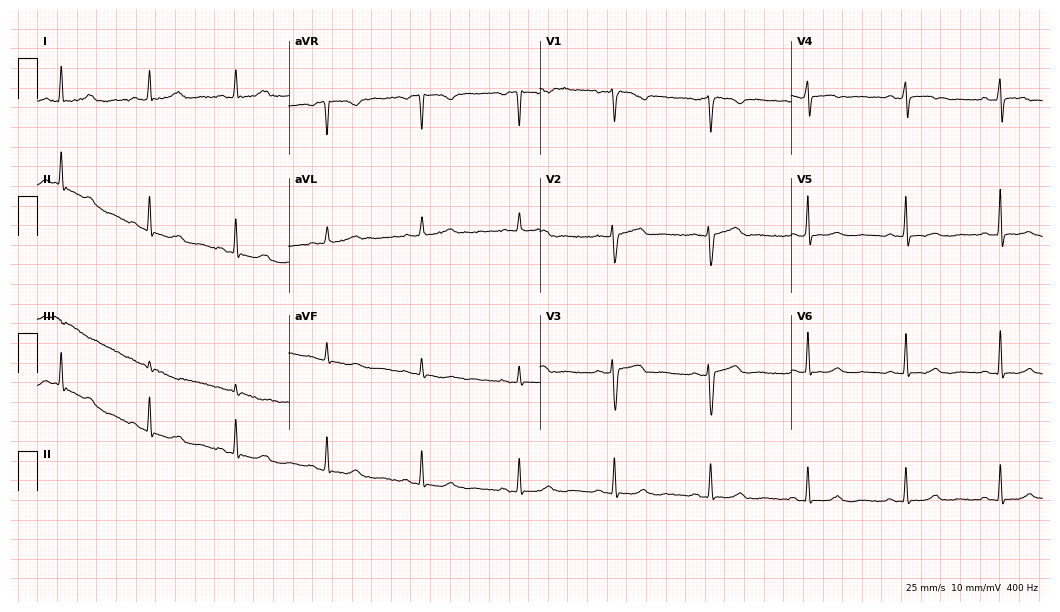
12-lead ECG (10.2-second recording at 400 Hz) from a 53-year-old female patient. Screened for six findings — first-degree AV block, right bundle branch block, left bundle branch block, sinus bradycardia, atrial fibrillation, sinus tachycardia — none is recorded.